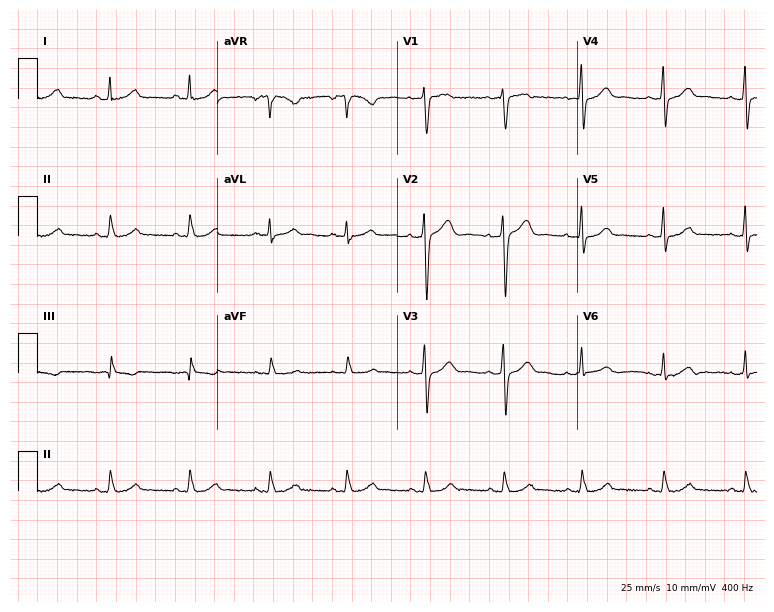
12-lead ECG from a woman, 35 years old. No first-degree AV block, right bundle branch block, left bundle branch block, sinus bradycardia, atrial fibrillation or sinus tachycardia recorded for this tracing.